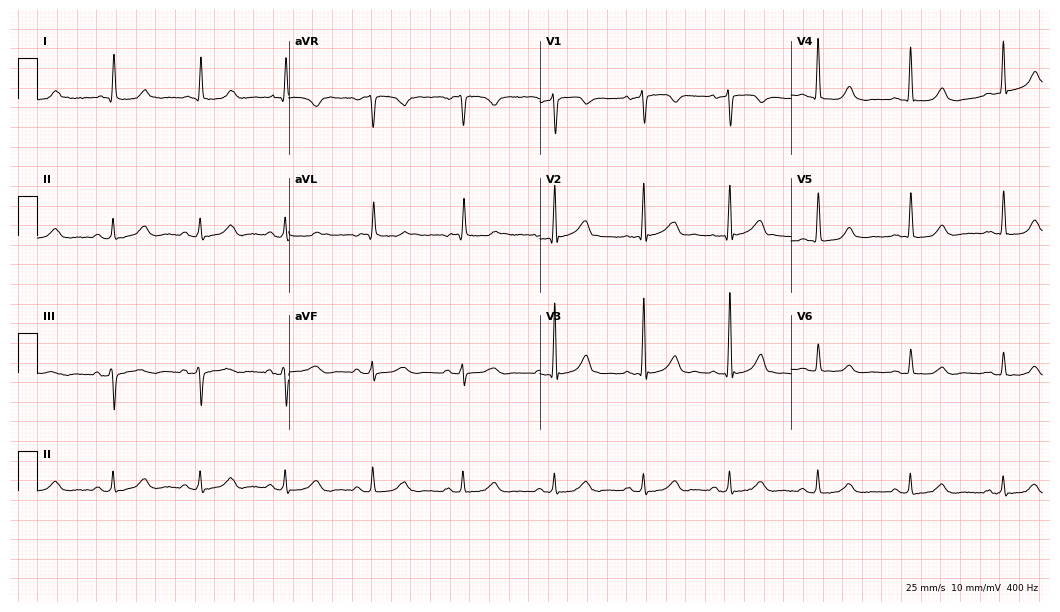
12-lead ECG from a 74-year-old female patient (10.2-second recording at 400 Hz). Recorded interpretation: within normal limits.